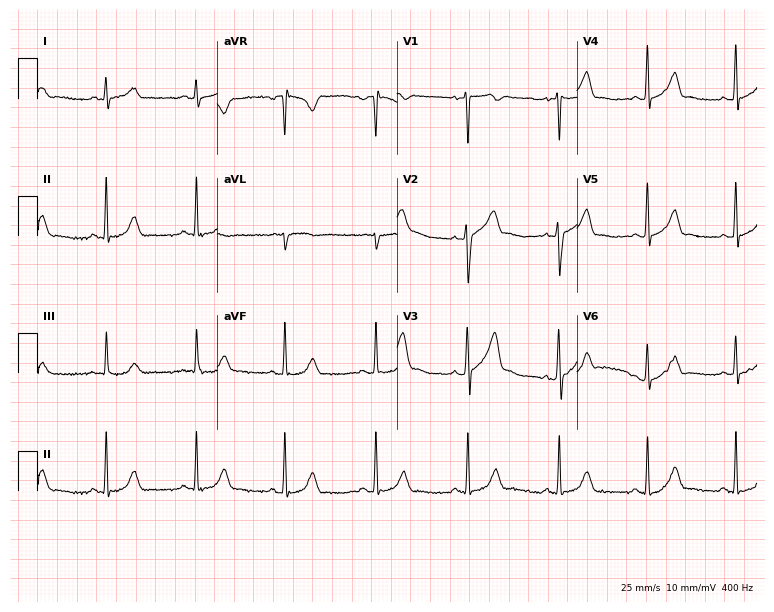
Resting 12-lead electrocardiogram. Patient: a 50-year-old man. None of these six findings is recorded: first-degree AV block, right bundle branch block, left bundle branch block, sinus bradycardia, atrial fibrillation, sinus tachycardia.